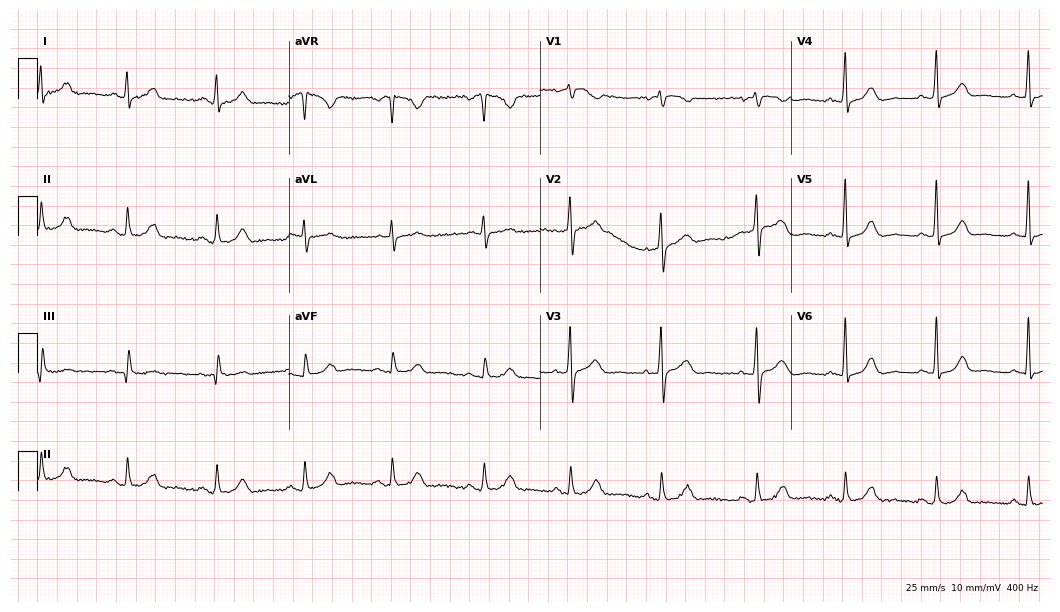
Standard 12-lead ECG recorded from a female, 59 years old (10.2-second recording at 400 Hz). Read as a normal ECG.